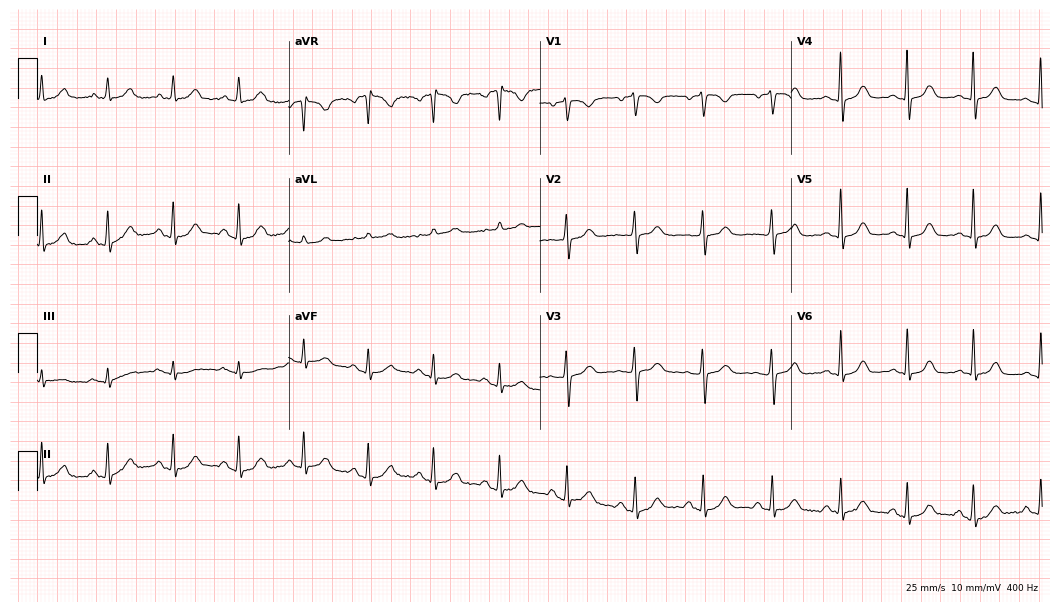
Electrocardiogram, a 41-year-old woman. Overall reading on record: normal ECG.